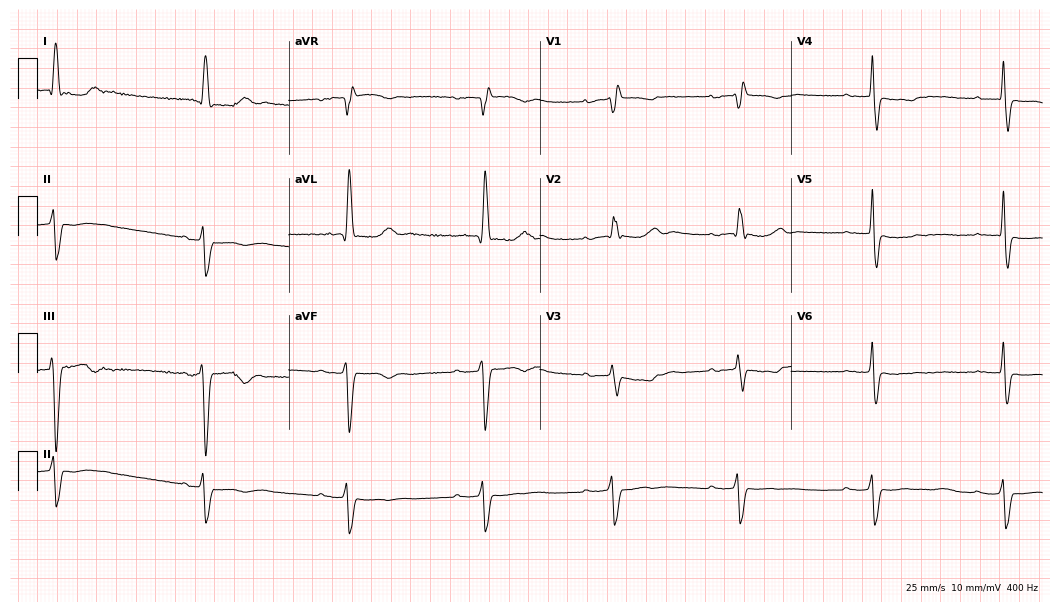
12-lead ECG from a 78-year-old woman. Findings include first-degree AV block, right bundle branch block, sinus bradycardia (a sinus rate of 50 beats per minute or less).